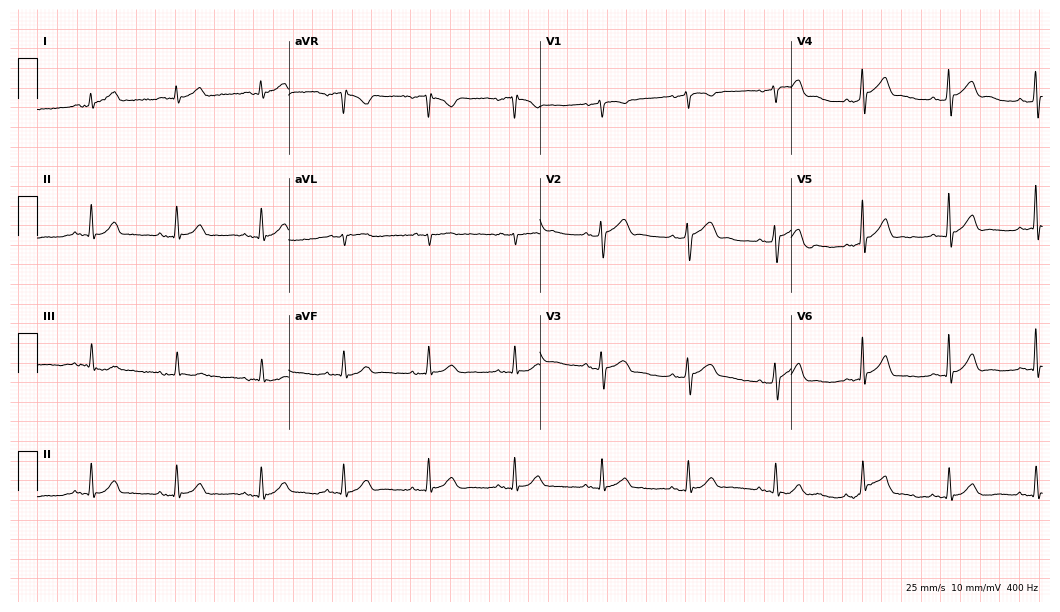
ECG — a male patient, 66 years old. Labelled as a normal ECG.